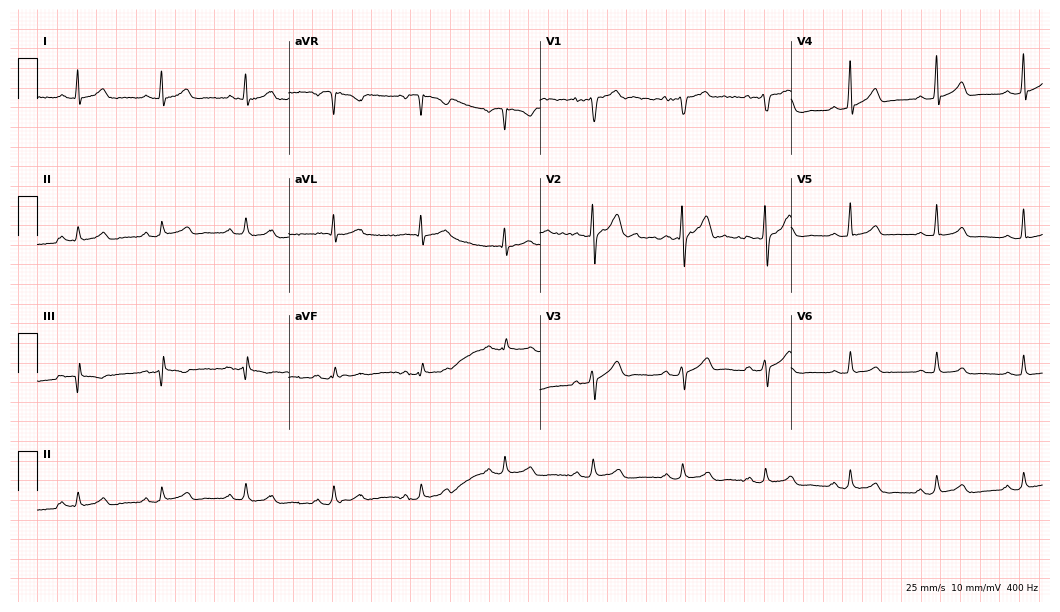
Standard 12-lead ECG recorded from a male patient, 37 years old. None of these six findings is recorded: first-degree AV block, right bundle branch block, left bundle branch block, sinus bradycardia, atrial fibrillation, sinus tachycardia.